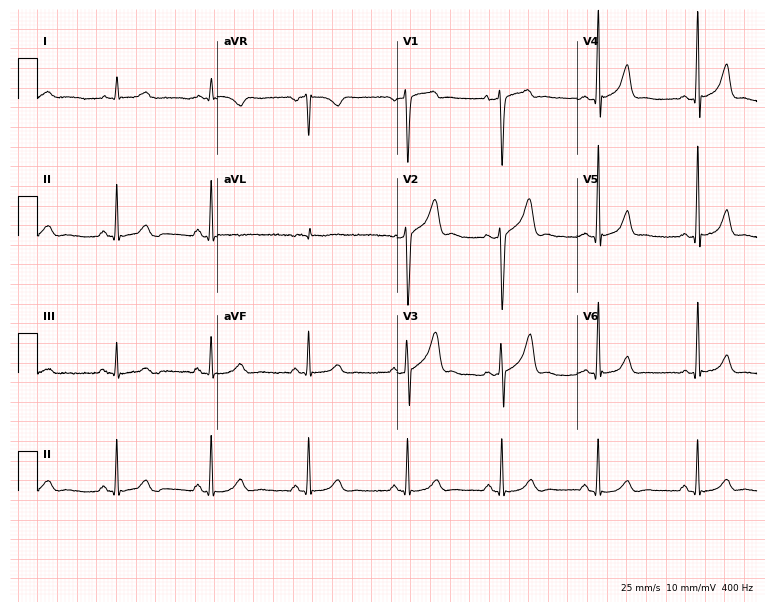
Electrocardiogram, a 53-year-old man. Of the six screened findings (first-degree AV block, right bundle branch block, left bundle branch block, sinus bradycardia, atrial fibrillation, sinus tachycardia), none is recorded. Findings outside these six are not listed.